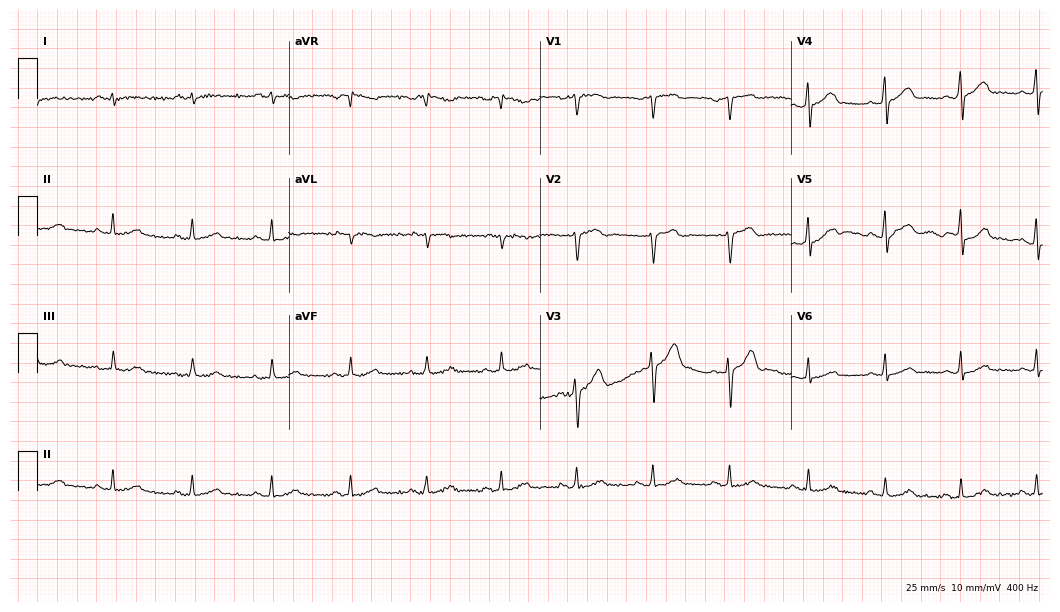
12-lead ECG (10.2-second recording at 400 Hz) from a 49-year-old male patient. Labelled as a normal ECG.